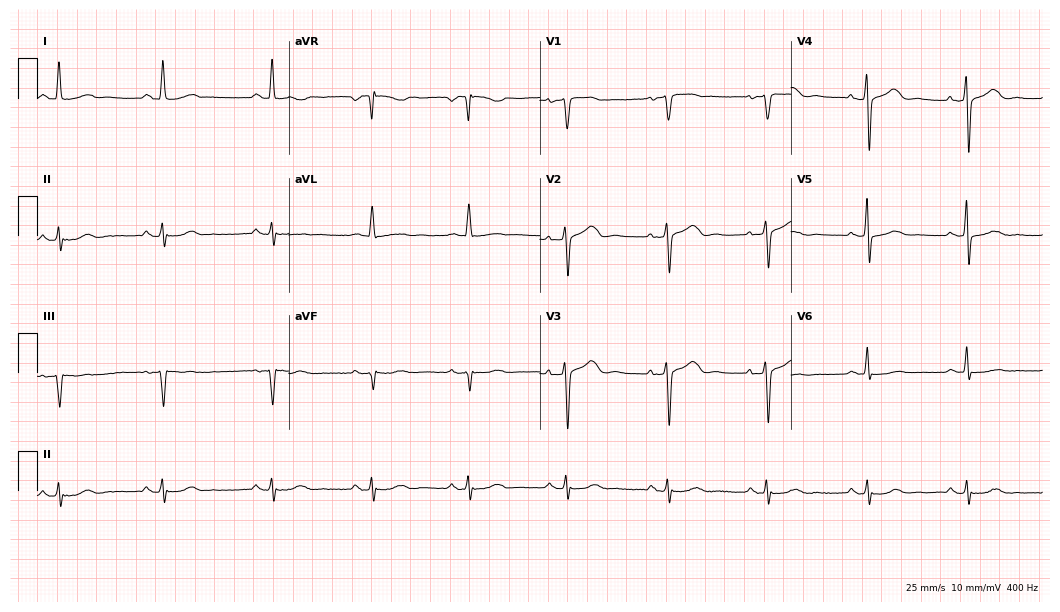
12-lead ECG from a female, 75 years old. Screened for six findings — first-degree AV block, right bundle branch block, left bundle branch block, sinus bradycardia, atrial fibrillation, sinus tachycardia — none is recorded.